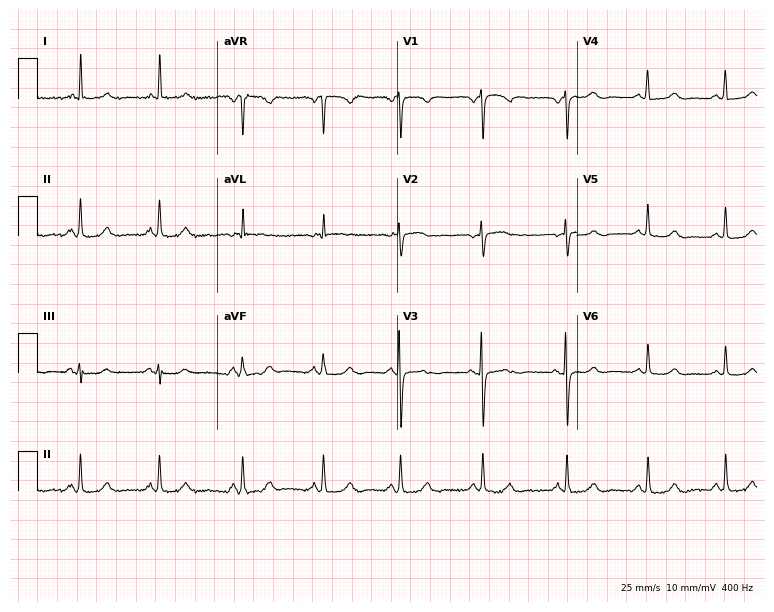
12-lead ECG from a woman, 76 years old. Labelled as a normal ECG.